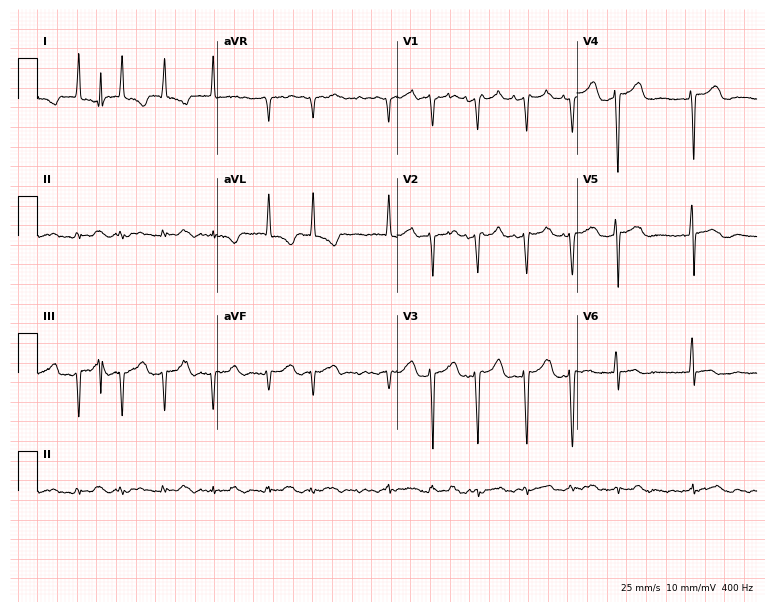
12-lead ECG from a 77-year-old female patient. No first-degree AV block, right bundle branch block (RBBB), left bundle branch block (LBBB), sinus bradycardia, atrial fibrillation (AF) or sinus tachycardia recorded for this tracing. Other findings, if any, are not listed.